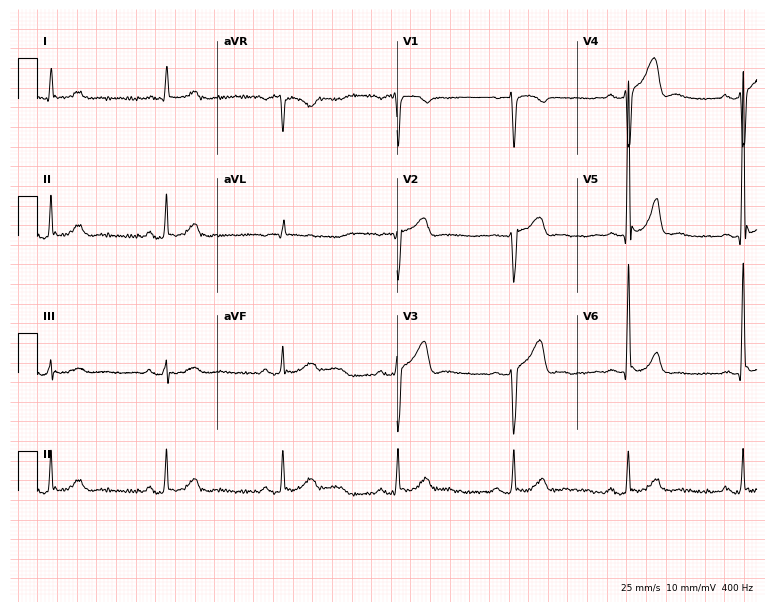
12-lead ECG (7.3-second recording at 400 Hz) from a male patient, 68 years old. Screened for six findings — first-degree AV block, right bundle branch block, left bundle branch block, sinus bradycardia, atrial fibrillation, sinus tachycardia — none is recorded. Other findings, if any, are not listed.